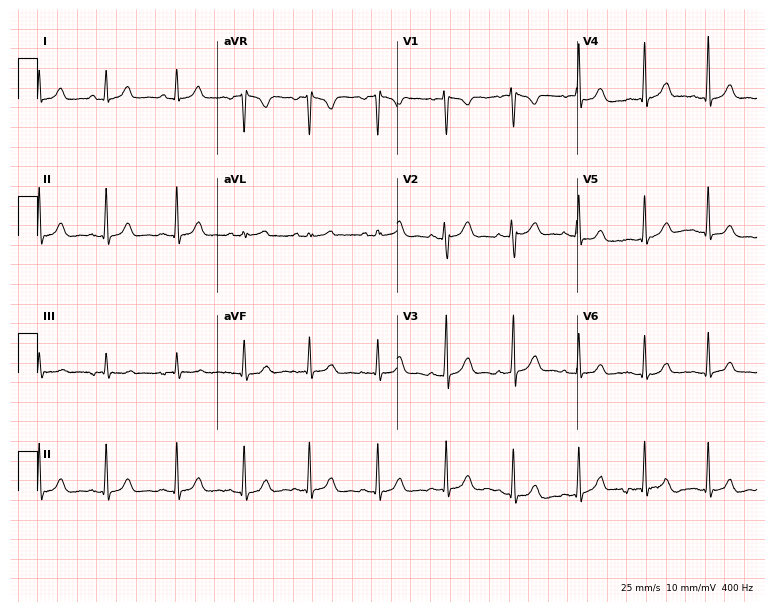
12-lead ECG from a woman, 32 years old (7.3-second recording at 400 Hz). Recorded interpretation: within normal limits.